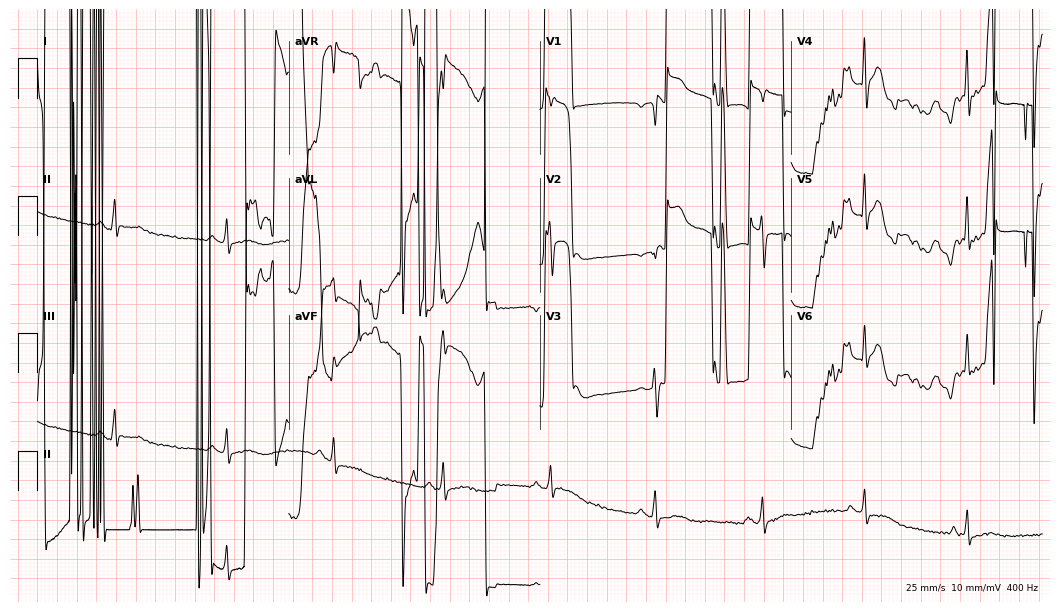
Resting 12-lead electrocardiogram. Patient: a female, 47 years old. None of these six findings is recorded: first-degree AV block, right bundle branch block, left bundle branch block, sinus bradycardia, atrial fibrillation, sinus tachycardia. Findings outside these six are not listed.